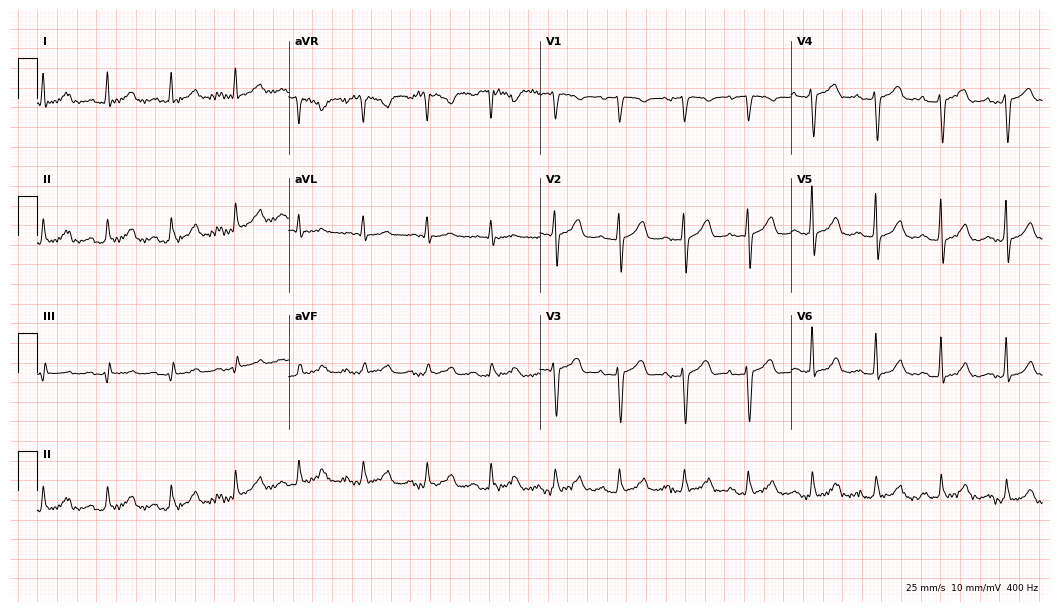
ECG (10.2-second recording at 400 Hz) — a 51-year-old woman. Screened for six findings — first-degree AV block, right bundle branch block (RBBB), left bundle branch block (LBBB), sinus bradycardia, atrial fibrillation (AF), sinus tachycardia — none is recorded.